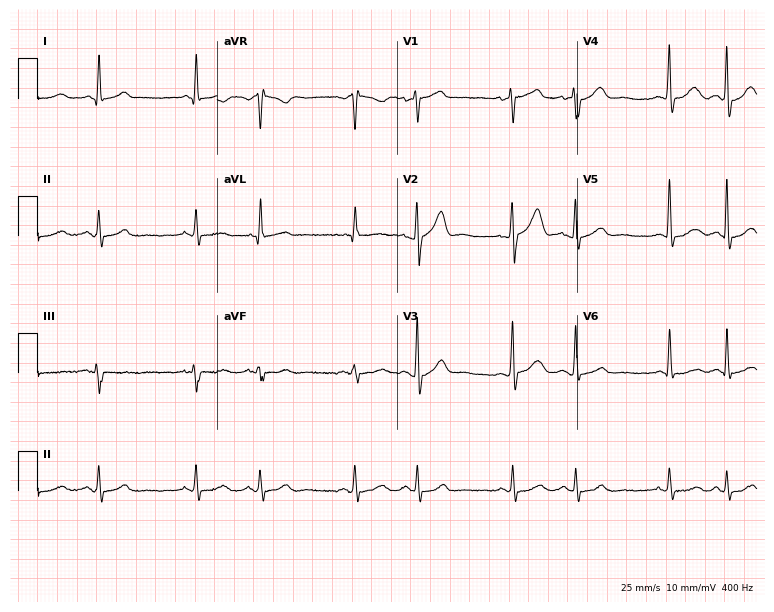
12-lead ECG from a 57-year-old male (7.3-second recording at 400 Hz). No first-degree AV block, right bundle branch block, left bundle branch block, sinus bradycardia, atrial fibrillation or sinus tachycardia recorded for this tracing.